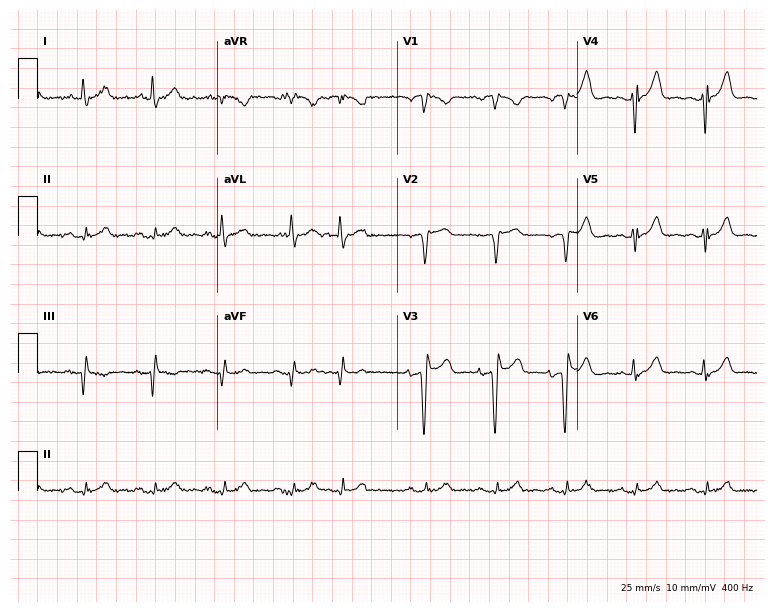
12-lead ECG (7.3-second recording at 400 Hz) from an 81-year-old male. Screened for six findings — first-degree AV block, right bundle branch block, left bundle branch block, sinus bradycardia, atrial fibrillation, sinus tachycardia — none is recorded. Only these six findings were labelled.